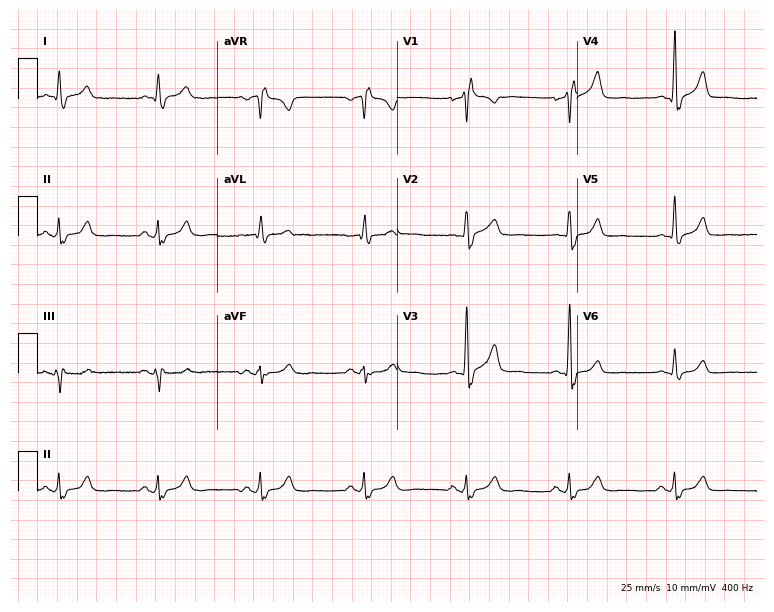
12-lead ECG from a man, 65 years old. Findings include right bundle branch block.